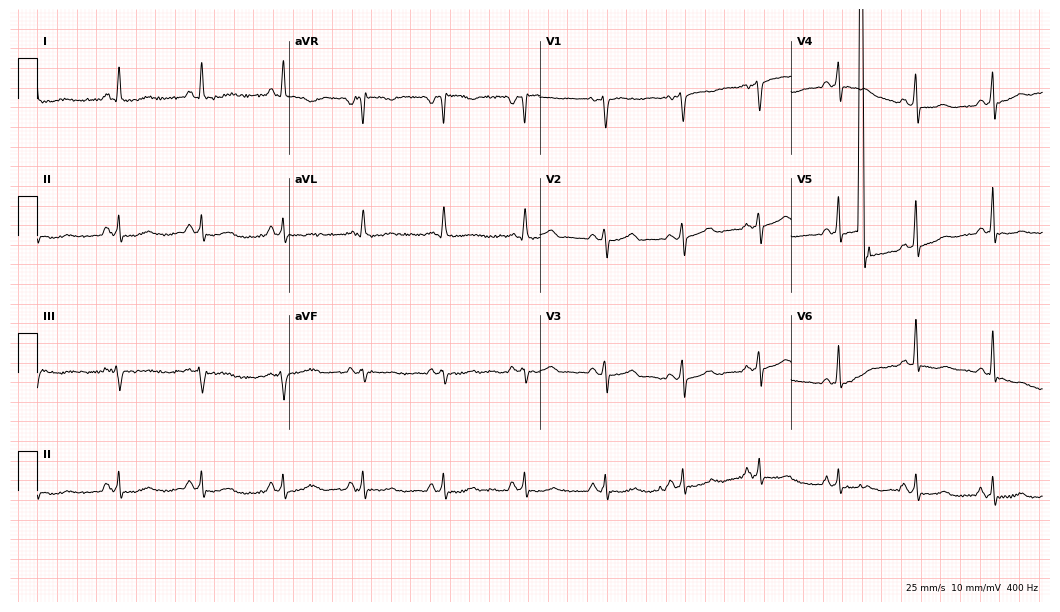
12-lead ECG from a female patient, 56 years old. Screened for six findings — first-degree AV block, right bundle branch block, left bundle branch block, sinus bradycardia, atrial fibrillation, sinus tachycardia — none is recorded. Only these six findings were labelled.